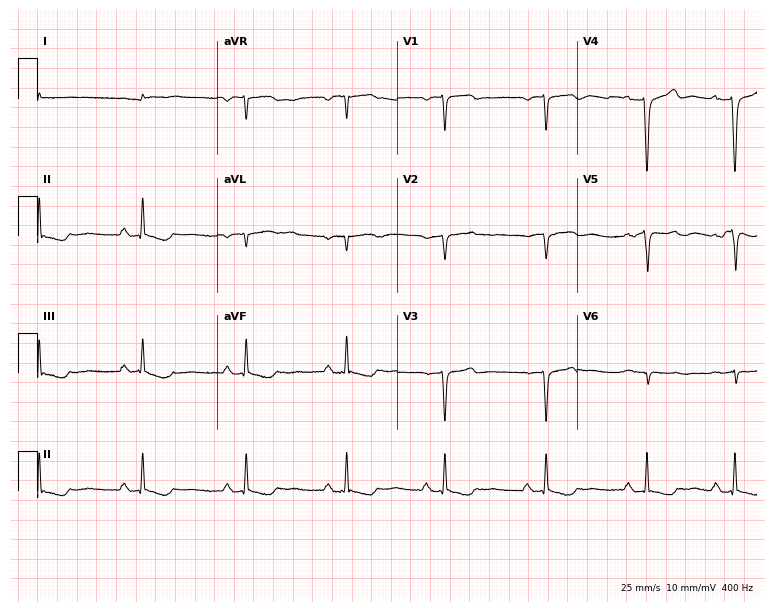
ECG — a 69-year-old male patient. Screened for six findings — first-degree AV block, right bundle branch block (RBBB), left bundle branch block (LBBB), sinus bradycardia, atrial fibrillation (AF), sinus tachycardia — none is recorded. Other findings, if any, are not listed.